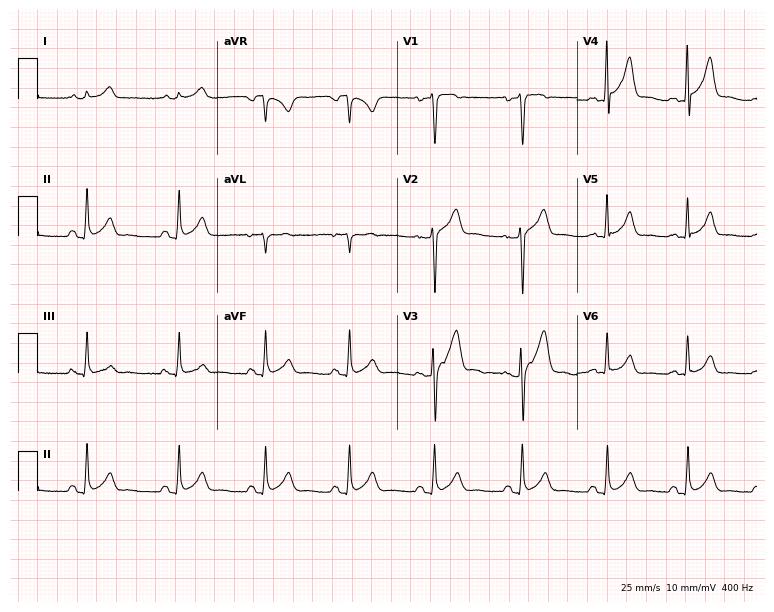
Resting 12-lead electrocardiogram (7.3-second recording at 400 Hz). Patient: a male, 21 years old. Read as a normal ECG.